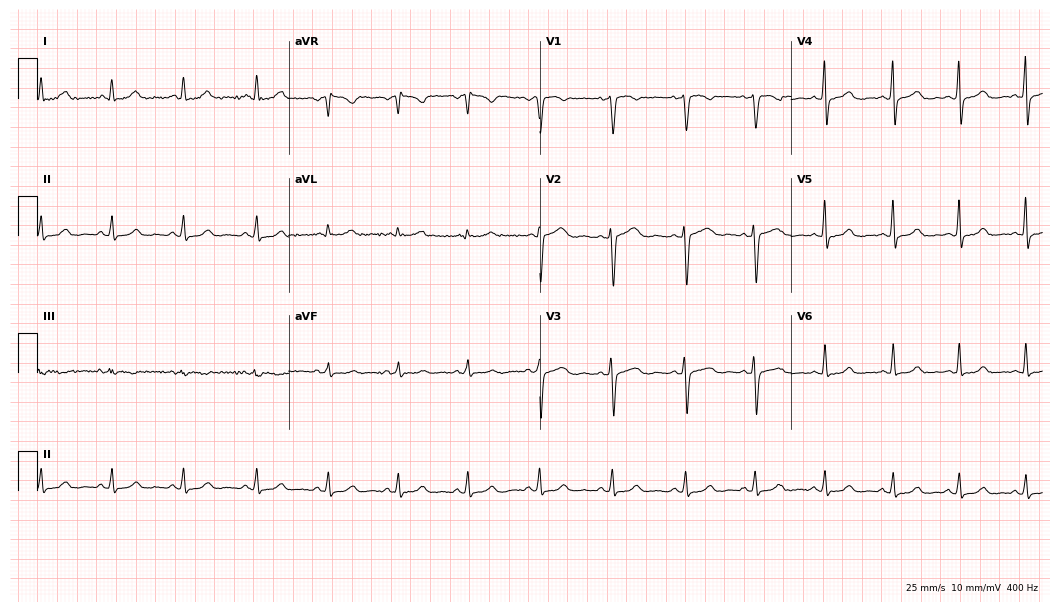
12-lead ECG from a female, 38 years old. Recorded interpretation: within normal limits.